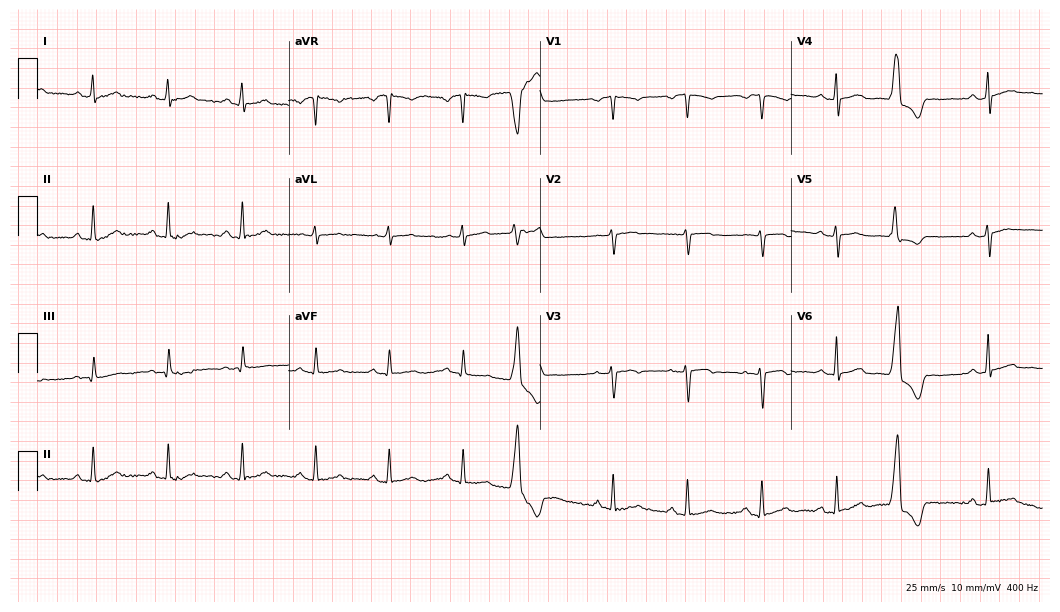
Electrocardiogram, a 71-year-old female. Of the six screened findings (first-degree AV block, right bundle branch block, left bundle branch block, sinus bradycardia, atrial fibrillation, sinus tachycardia), none is recorded. Findings outside these six are not listed.